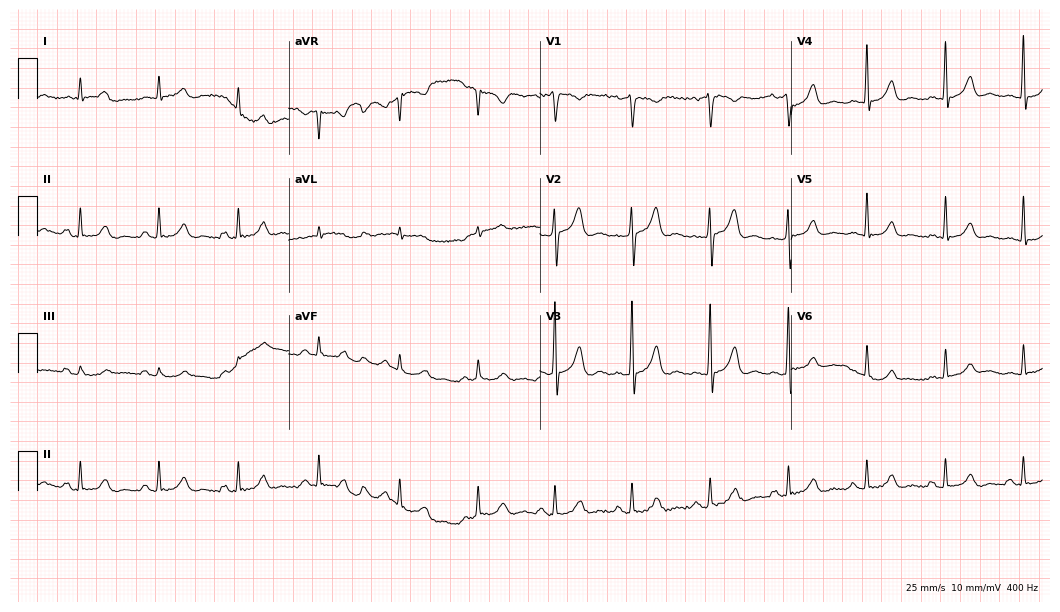
12-lead ECG (10.2-second recording at 400 Hz) from a 61-year-old male. Screened for six findings — first-degree AV block, right bundle branch block, left bundle branch block, sinus bradycardia, atrial fibrillation, sinus tachycardia — none is recorded. Other findings, if any, are not listed.